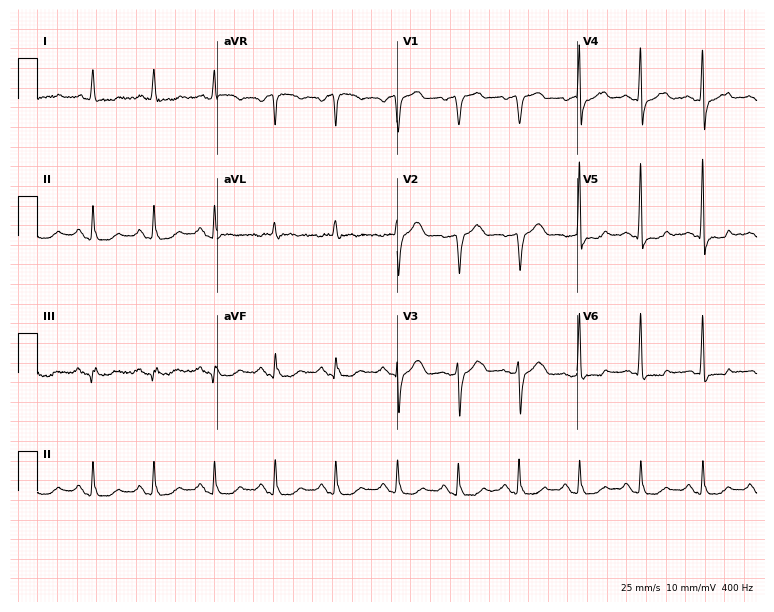
ECG (7.3-second recording at 400 Hz) — a 74-year-old female patient. Labelled as a normal ECG.